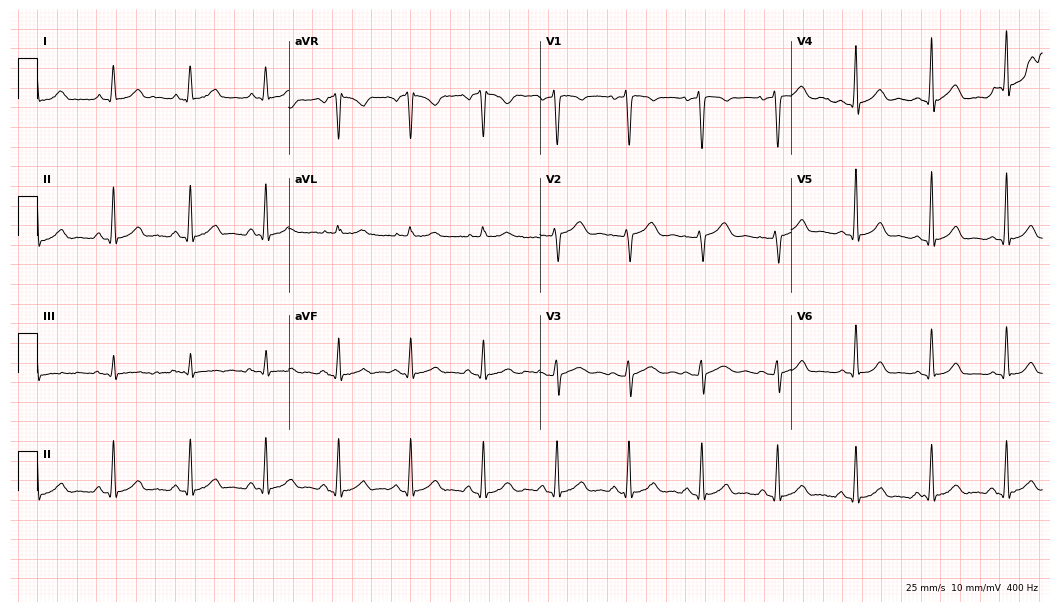
Resting 12-lead electrocardiogram. Patient: a 20-year-old female. None of these six findings is recorded: first-degree AV block, right bundle branch block, left bundle branch block, sinus bradycardia, atrial fibrillation, sinus tachycardia. Findings outside these six are not listed.